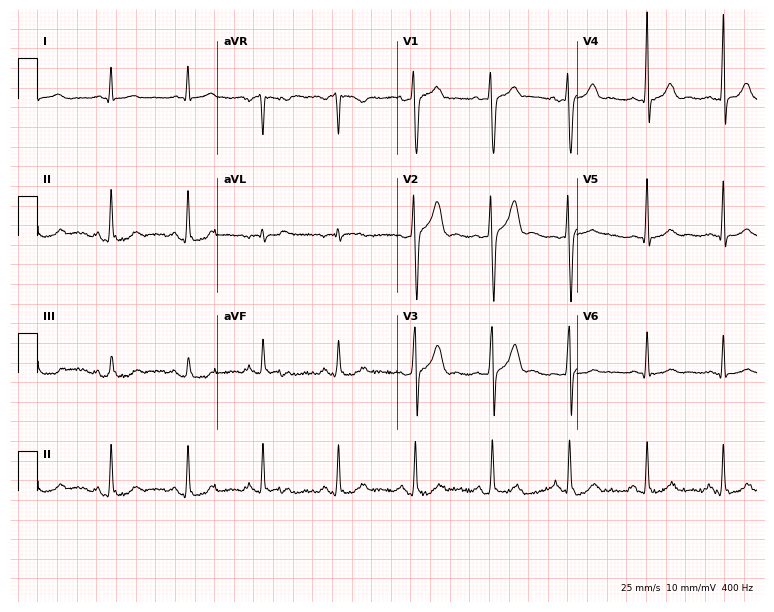
Standard 12-lead ECG recorded from a male, 43 years old. None of these six findings is recorded: first-degree AV block, right bundle branch block, left bundle branch block, sinus bradycardia, atrial fibrillation, sinus tachycardia. Other findings, if any, are not listed.